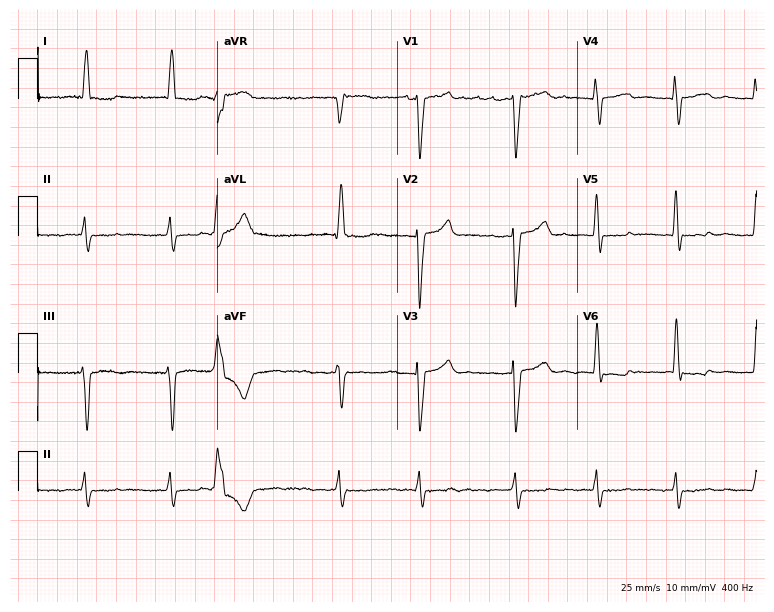
Resting 12-lead electrocardiogram. Patient: a 72-year-old female. The tracing shows atrial fibrillation (AF).